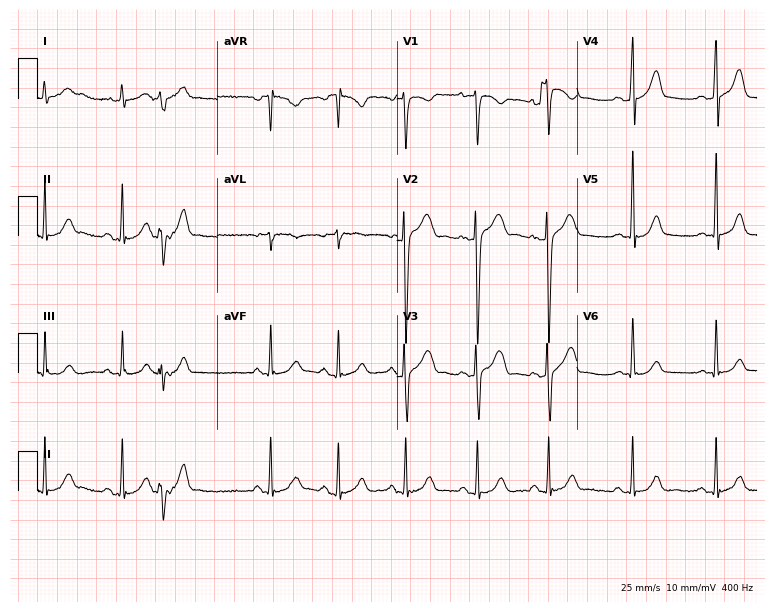
ECG — a male patient, 32 years old. Screened for six findings — first-degree AV block, right bundle branch block (RBBB), left bundle branch block (LBBB), sinus bradycardia, atrial fibrillation (AF), sinus tachycardia — none is recorded.